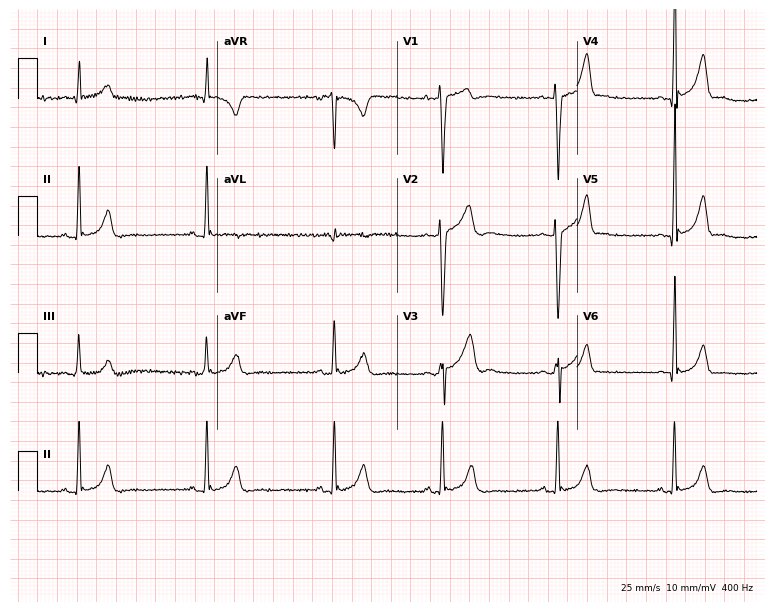
Resting 12-lead electrocardiogram. Patient: a male, 17 years old. None of these six findings is recorded: first-degree AV block, right bundle branch block, left bundle branch block, sinus bradycardia, atrial fibrillation, sinus tachycardia. Only these six findings were labelled.